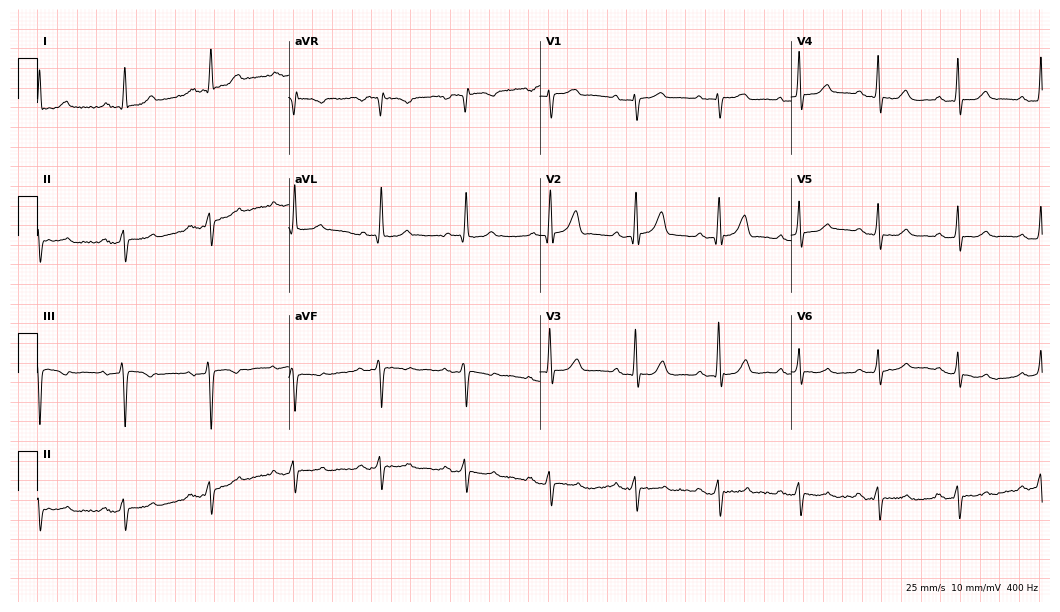
12-lead ECG (10.2-second recording at 400 Hz) from an 81-year-old female. Screened for six findings — first-degree AV block, right bundle branch block, left bundle branch block, sinus bradycardia, atrial fibrillation, sinus tachycardia — none is recorded.